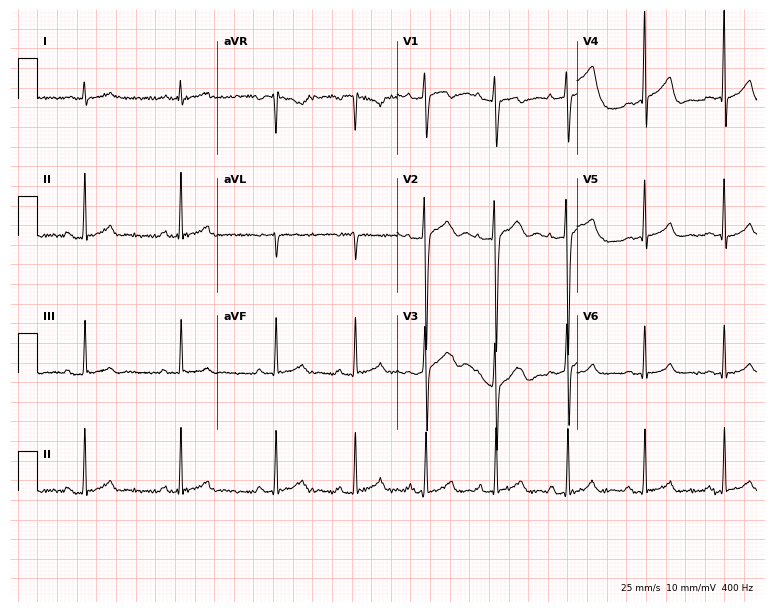
12-lead ECG (7.3-second recording at 400 Hz) from a man, 20 years old. Screened for six findings — first-degree AV block, right bundle branch block, left bundle branch block, sinus bradycardia, atrial fibrillation, sinus tachycardia — none is recorded.